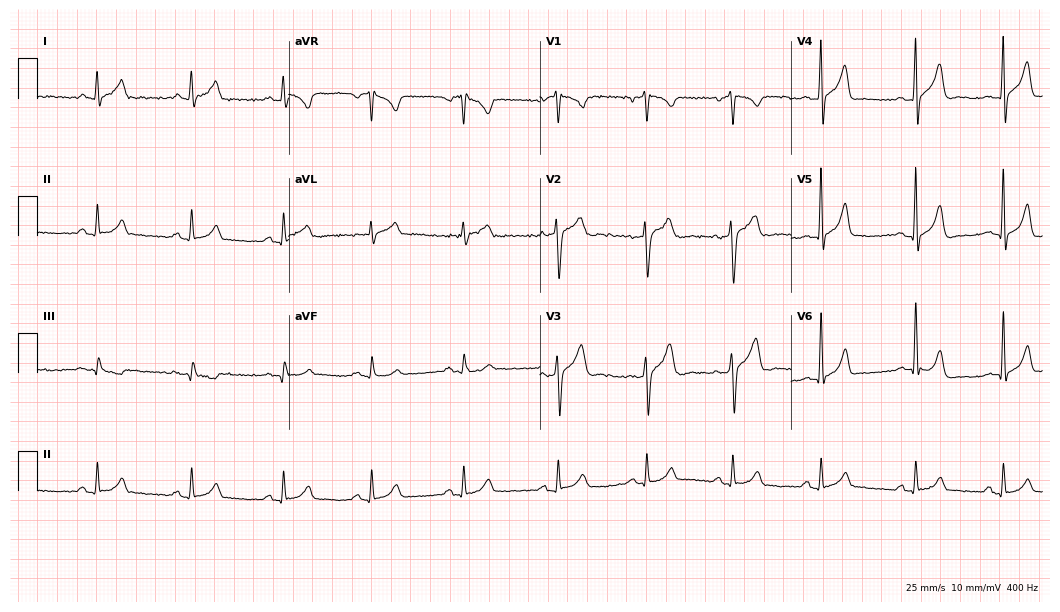
Electrocardiogram (10.2-second recording at 400 Hz), a man, 28 years old. Of the six screened findings (first-degree AV block, right bundle branch block (RBBB), left bundle branch block (LBBB), sinus bradycardia, atrial fibrillation (AF), sinus tachycardia), none is recorded.